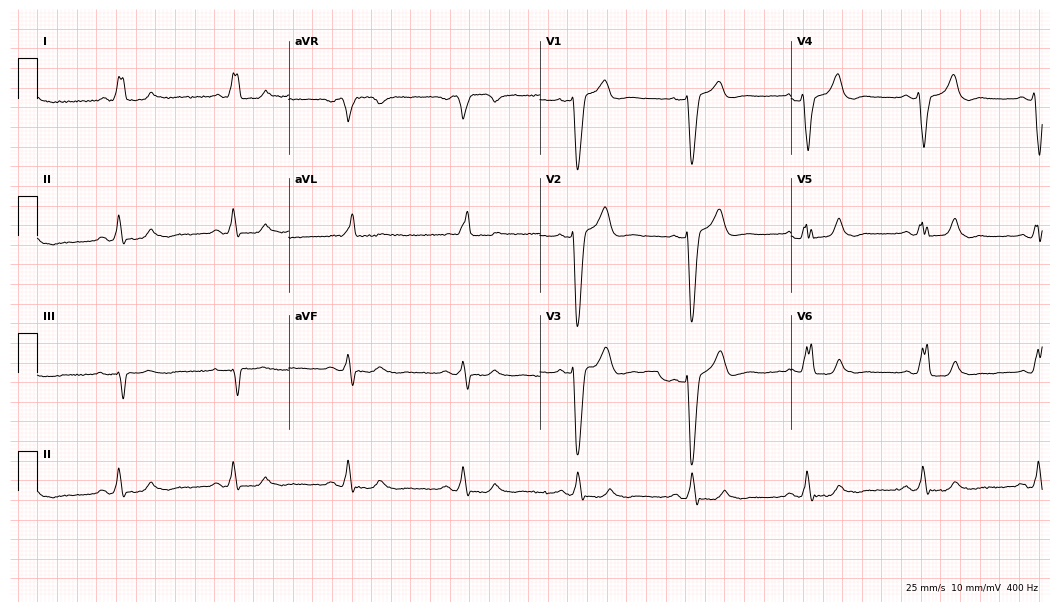
Electrocardiogram (10.2-second recording at 400 Hz), a 77-year-old male patient. Interpretation includes left bundle branch block (LBBB).